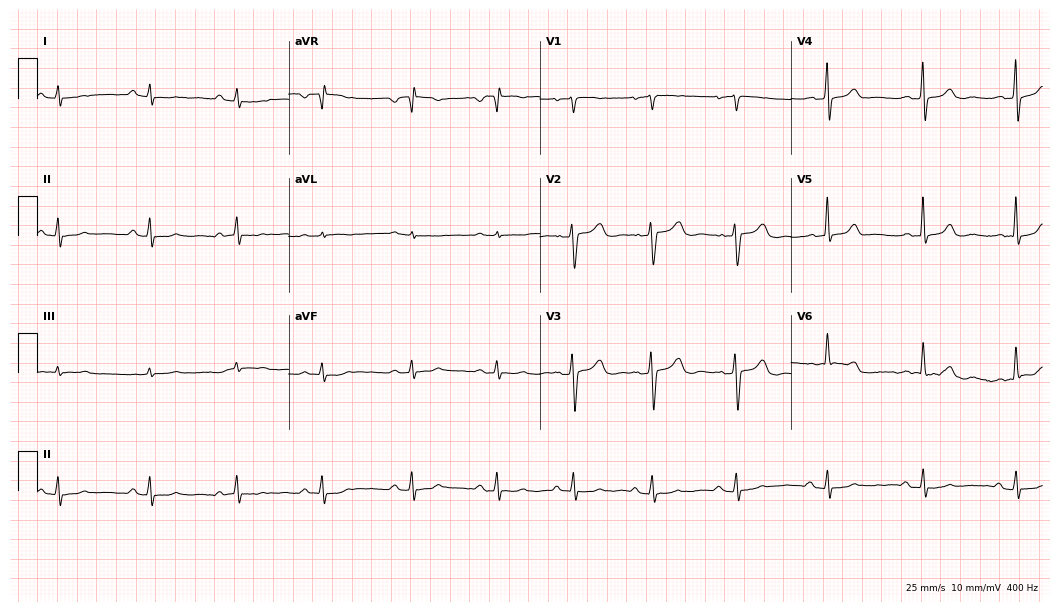
Resting 12-lead electrocardiogram. Patient: a female, 48 years old. Read as a normal ECG.